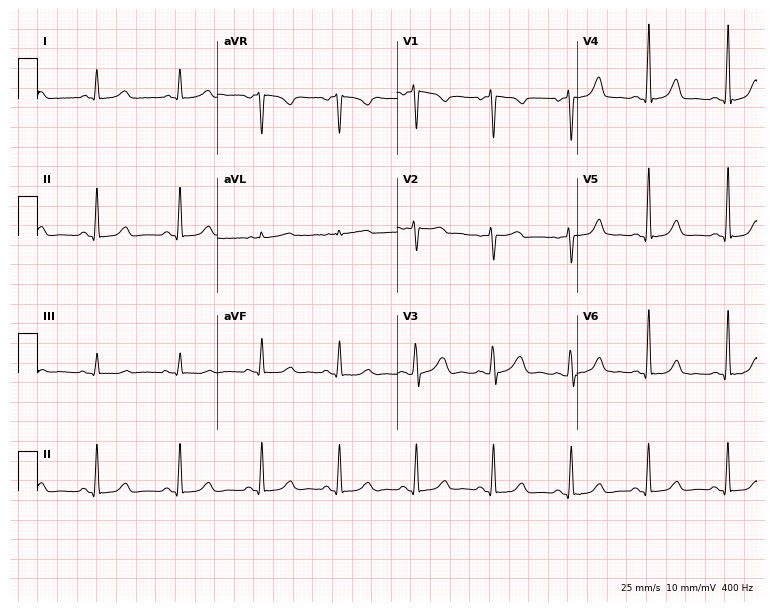
12-lead ECG (7.3-second recording at 400 Hz) from a 46-year-old female patient. Screened for six findings — first-degree AV block, right bundle branch block (RBBB), left bundle branch block (LBBB), sinus bradycardia, atrial fibrillation (AF), sinus tachycardia — none is recorded. Other findings, if any, are not listed.